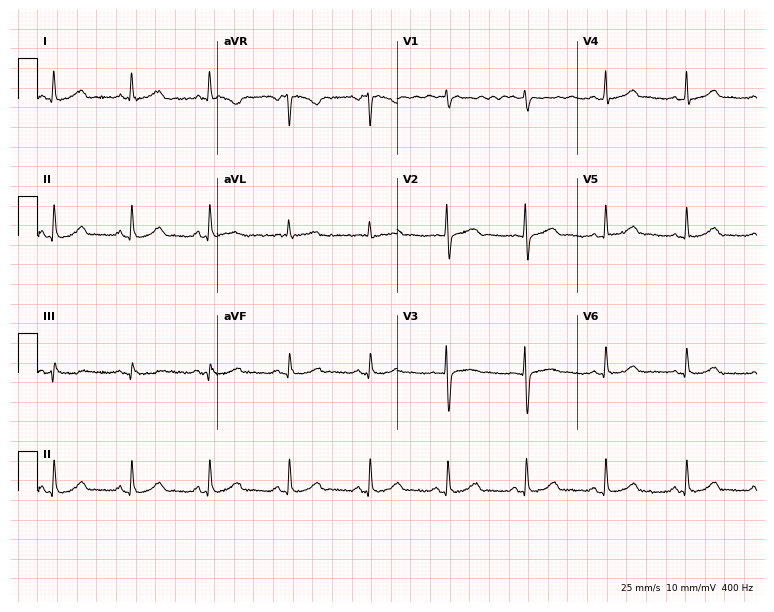
Resting 12-lead electrocardiogram. Patient: a female, 30 years old. Read as a normal ECG.